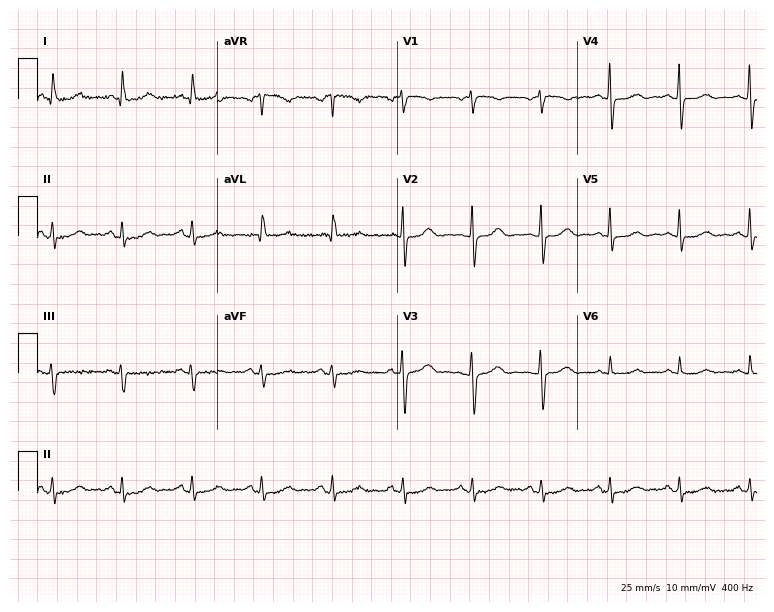
Standard 12-lead ECG recorded from a 60-year-old female patient. None of these six findings is recorded: first-degree AV block, right bundle branch block (RBBB), left bundle branch block (LBBB), sinus bradycardia, atrial fibrillation (AF), sinus tachycardia. Findings outside these six are not listed.